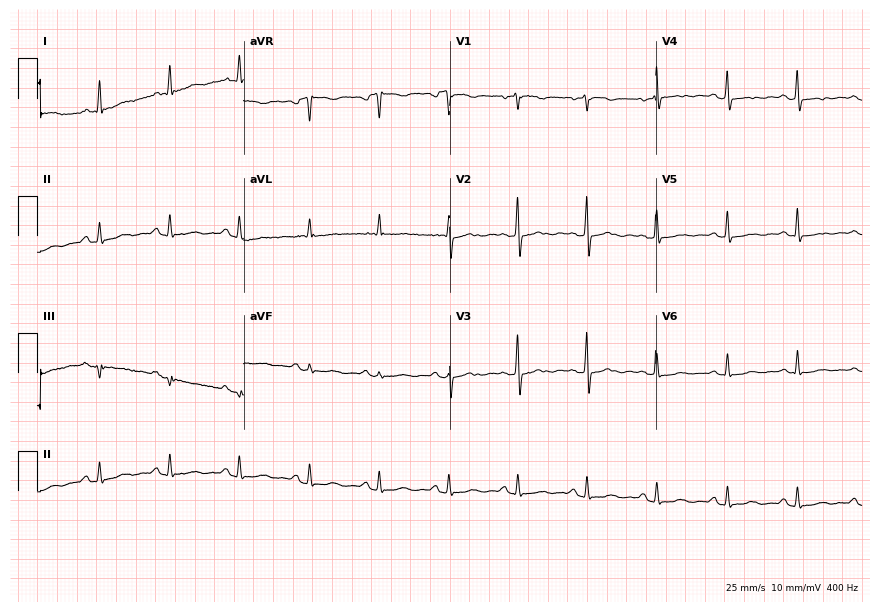
12-lead ECG from a female patient, 62 years old (8.4-second recording at 400 Hz). No first-degree AV block, right bundle branch block (RBBB), left bundle branch block (LBBB), sinus bradycardia, atrial fibrillation (AF) or sinus tachycardia recorded for this tracing.